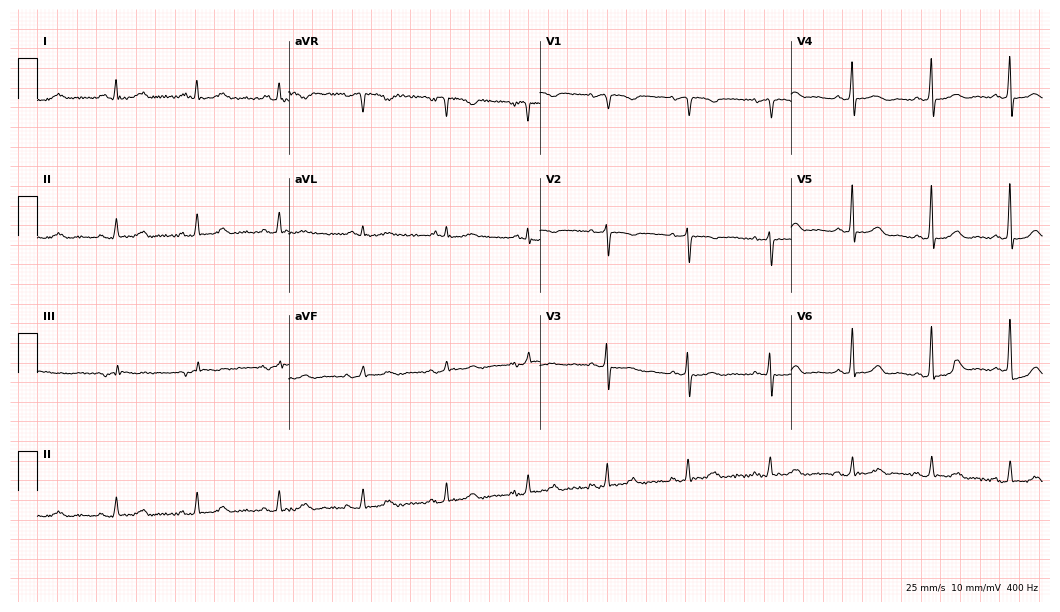
12-lead ECG from a female patient, 78 years old (10.2-second recording at 400 Hz). Recorded interpretation: within normal limits.